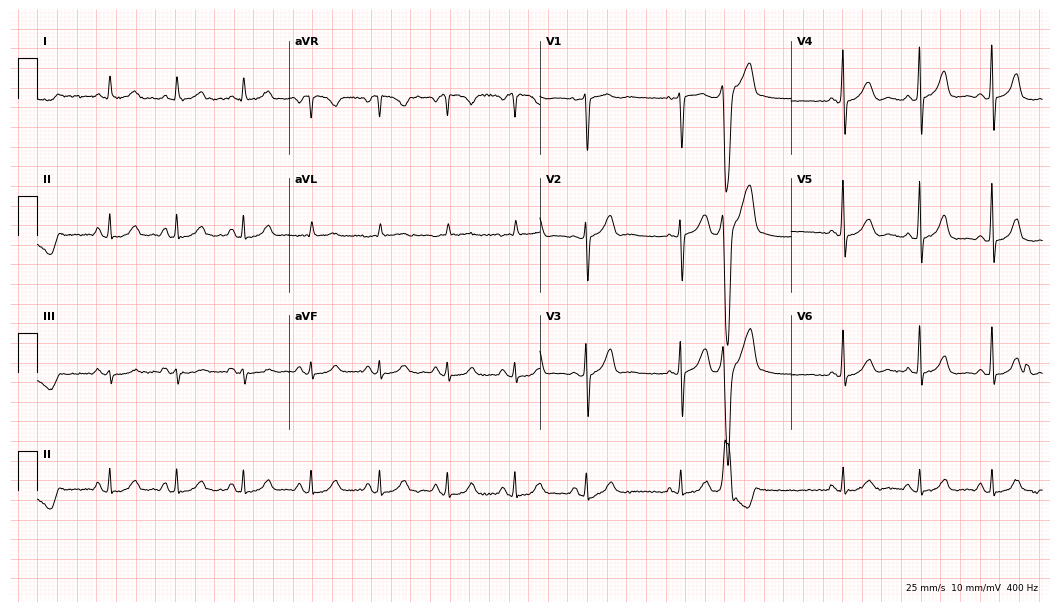
Resting 12-lead electrocardiogram. Patient: a male, 66 years old. Read as a normal ECG.